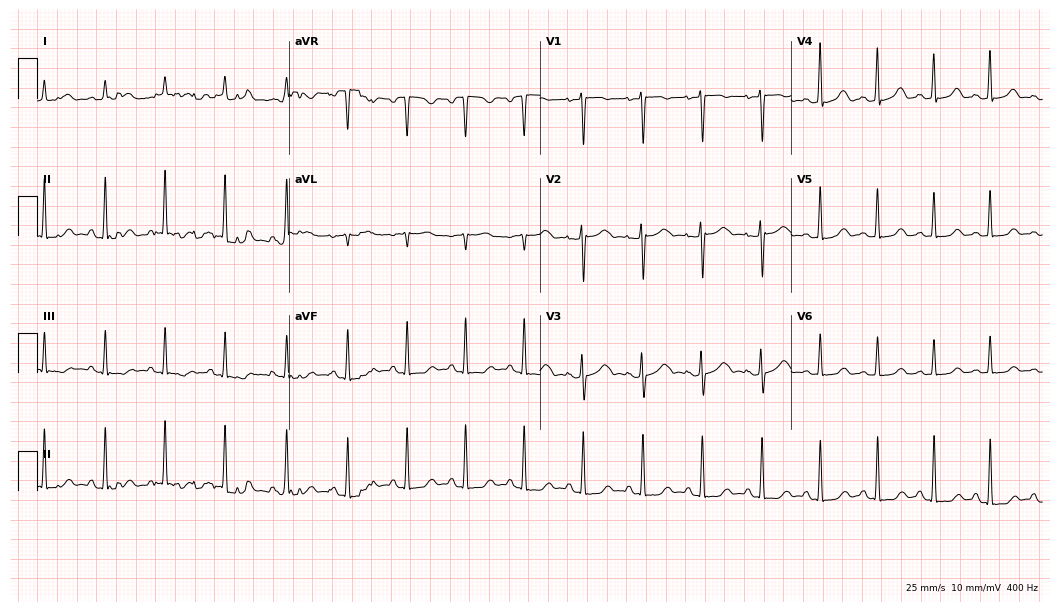
12-lead ECG (10.2-second recording at 400 Hz) from a 35-year-old female. Screened for six findings — first-degree AV block, right bundle branch block, left bundle branch block, sinus bradycardia, atrial fibrillation, sinus tachycardia — none is recorded. Other findings, if any, are not listed.